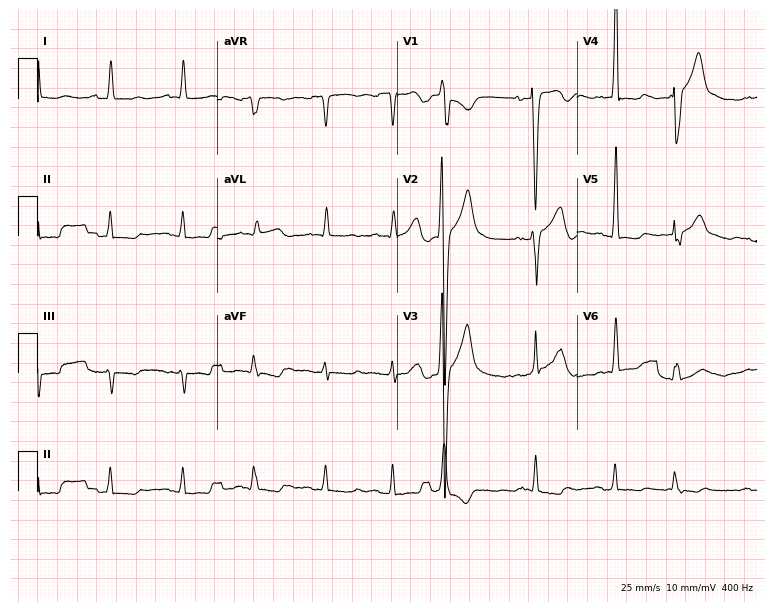
12-lead ECG (7.3-second recording at 400 Hz) from a 71-year-old male. Screened for six findings — first-degree AV block, right bundle branch block, left bundle branch block, sinus bradycardia, atrial fibrillation, sinus tachycardia — none is recorded.